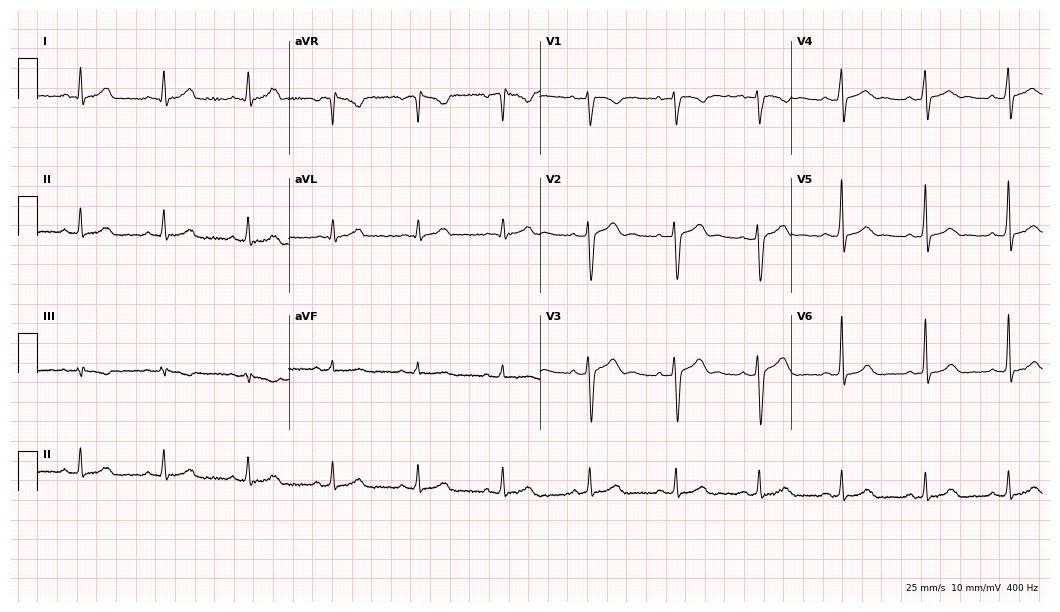
Standard 12-lead ECG recorded from a male patient, 32 years old. Read as a normal ECG.